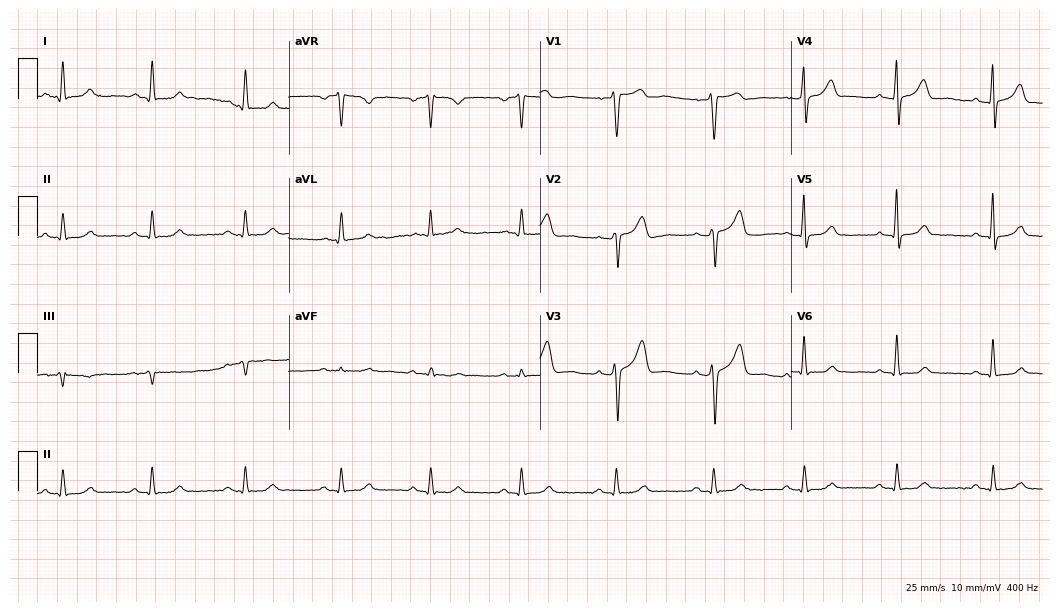
Resting 12-lead electrocardiogram (10.2-second recording at 400 Hz). Patient: a 61-year-old male. Read as a normal ECG.